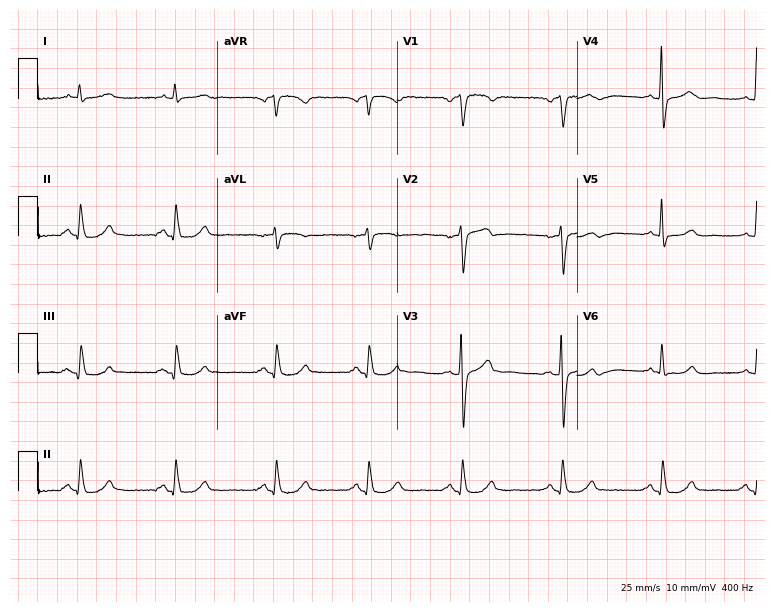
ECG (7.3-second recording at 400 Hz) — a 61-year-old male. Labelled as a normal ECG.